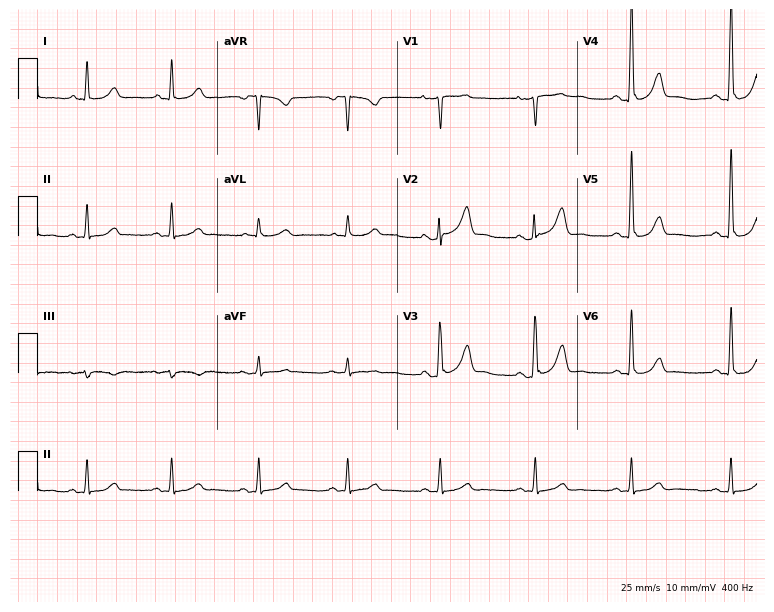
ECG — a 52-year-old female. Labelled as a normal ECG.